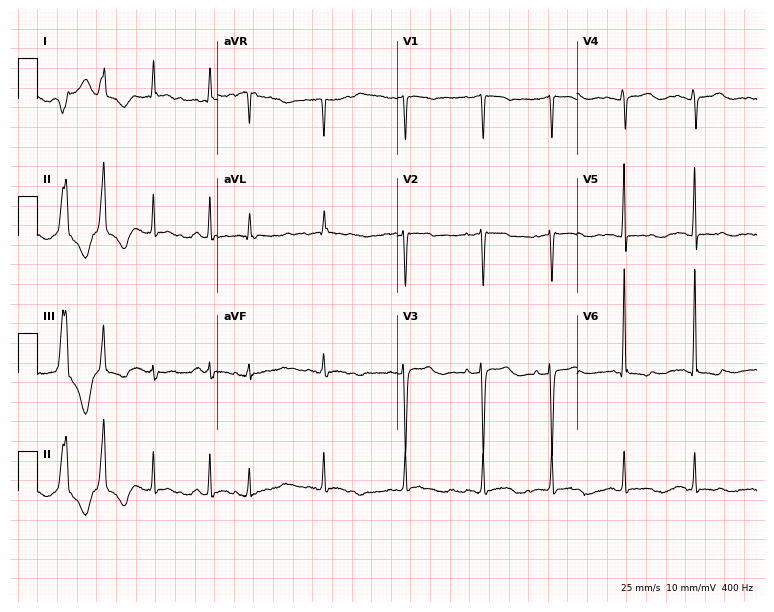
Electrocardiogram, a 61-year-old woman. Of the six screened findings (first-degree AV block, right bundle branch block (RBBB), left bundle branch block (LBBB), sinus bradycardia, atrial fibrillation (AF), sinus tachycardia), none is recorded.